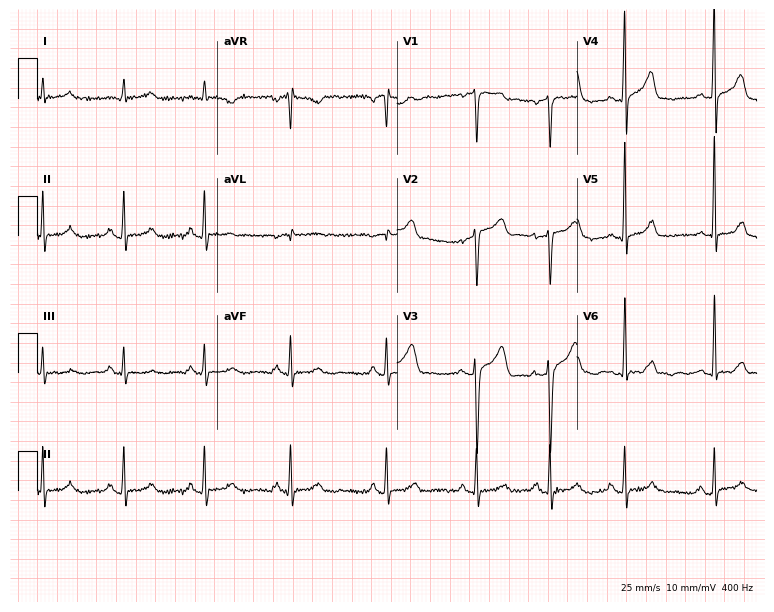
Standard 12-lead ECG recorded from a man, 68 years old (7.3-second recording at 400 Hz). Read as a normal ECG.